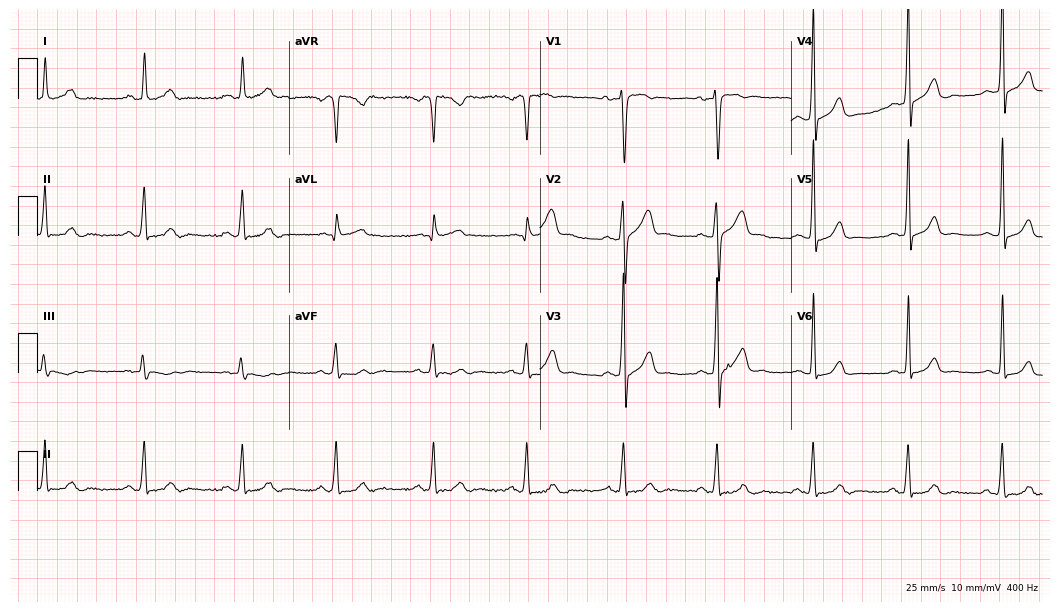
Electrocardiogram, a male, 31 years old. Overall reading on record: normal ECG.